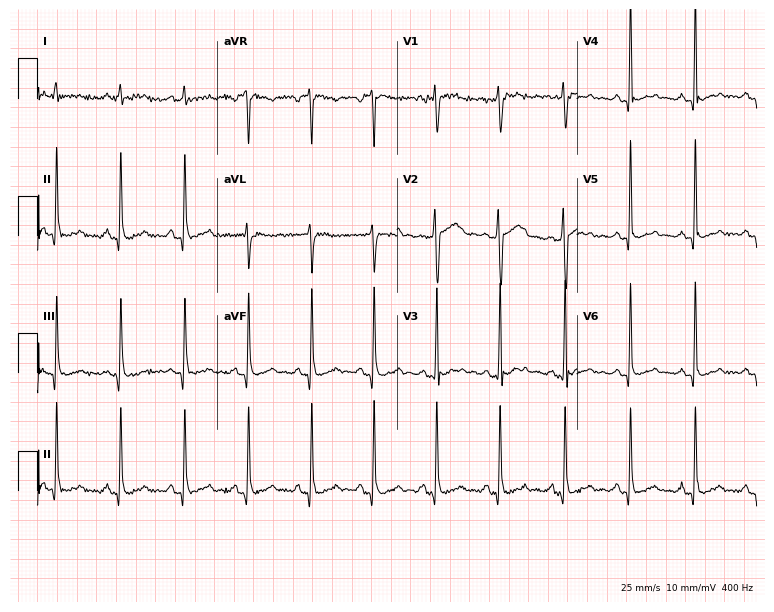
12-lead ECG from a 36-year-old male (7.3-second recording at 400 Hz). No first-degree AV block, right bundle branch block, left bundle branch block, sinus bradycardia, atrial fibrillation or sinus tachycardia recorded for this tracing.